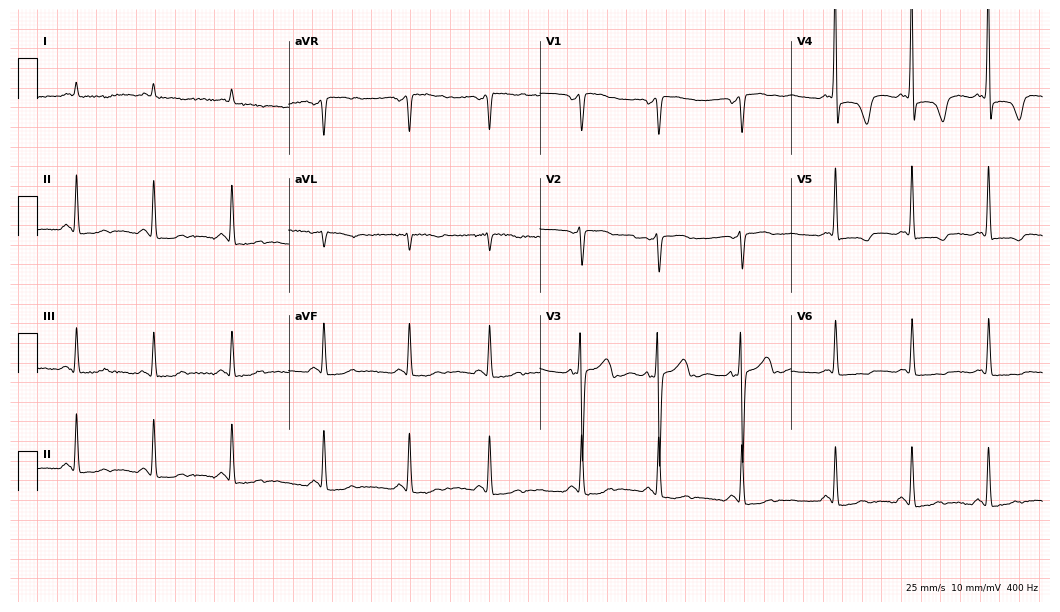
Electrocardiogram, a female patient, 85 years old. Of the six screened findings (first-degree AV block, right bundle branch block (RBBB), left bundle branch block (LBBB), sinus bradycardia, atrial fibrillation (AF), sinus tachycardia), none is recorded.